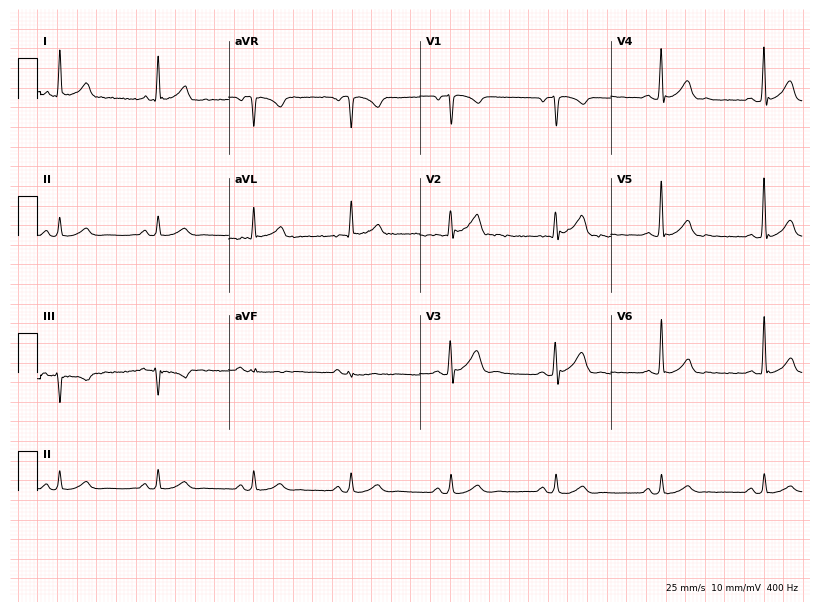
Resting 12-lead electrocardiogram. Patient: a male, 47 years old. Read as a normal ECG.